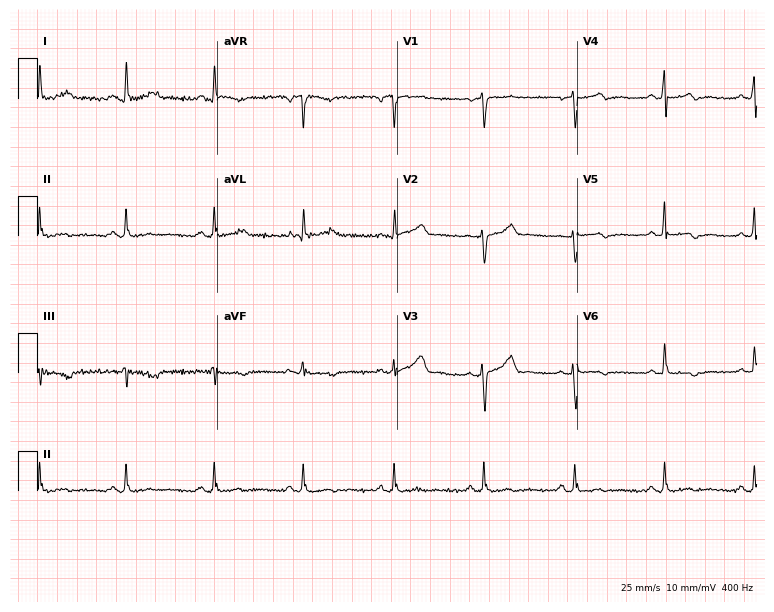
ECG (7.3-second recording at 400 Hz) — a female, 45 years old. Screened for six findings — first-degree AV block, right bundle branch block, left bundle branch block, sinus bradycardia, atrial fibrillation, sinus tachycardia — none is recorded.